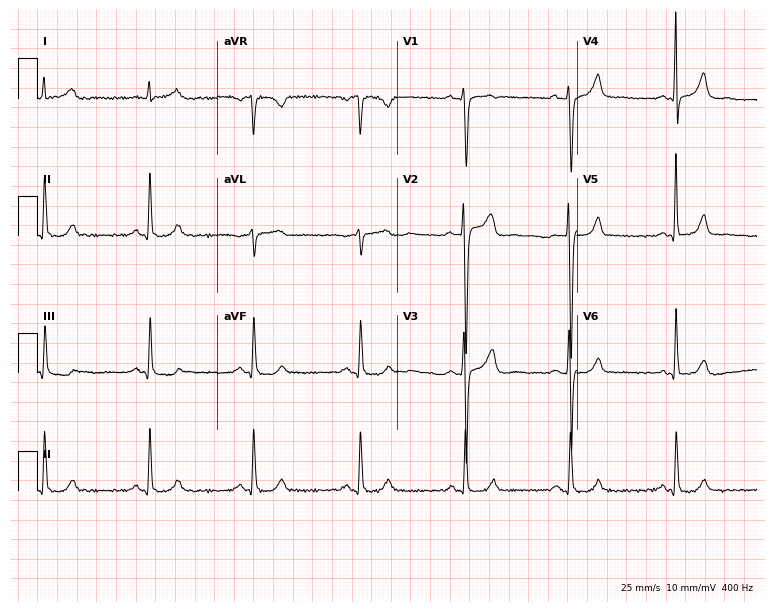
Standard 12-lead ECG recorded from a 62-year-old male patient. Read as a normal ECG.